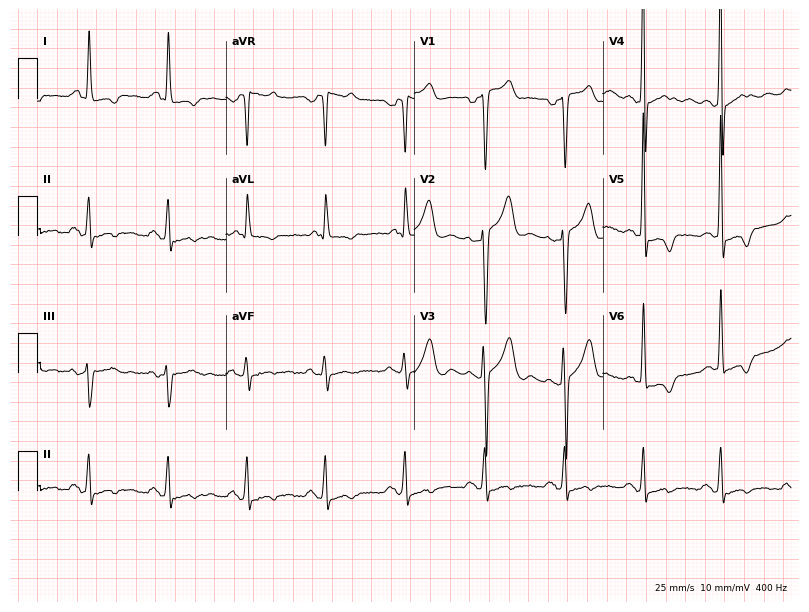
12-lead ECG from a 71-year-old man (7.7-second recording at 400 Hz). No first-degree AV block, right bundle branch block, left bundle branch block, sinus bradycardia, atrial fibrillation or sinus tachycardia recorded for this tracing.